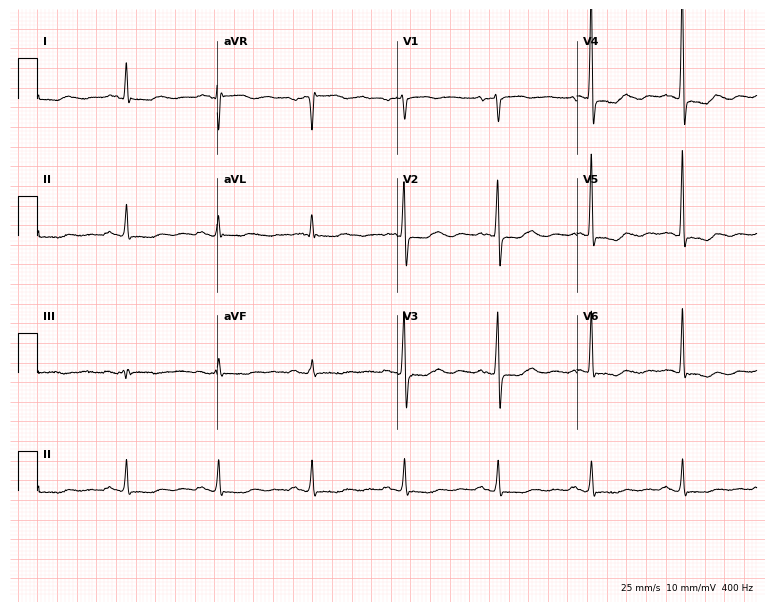
ECG — a 64-year-old woman. Screened for six findings — first-degree AV block, right bundle branch block (RBBB), left bundle branch block (LBBB), sinus bradycardia, atrial fibrillation (AF), sinus tachycardia — none is recorded. Only these six findings were labelled.